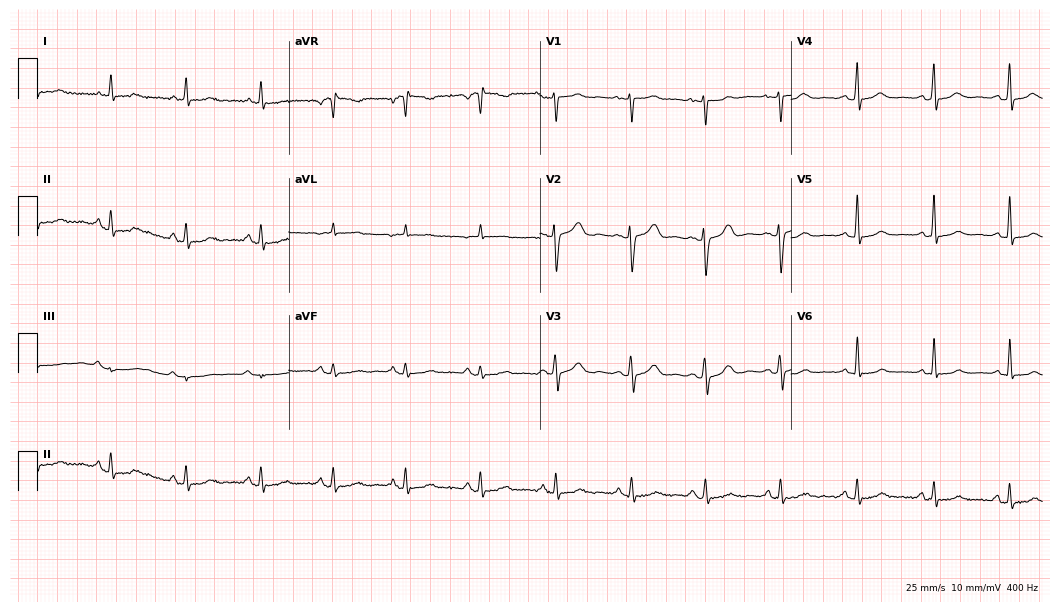
Resting 12-lead electrocardiogram (10.2-second recording at 400 Hz). Patient: a woman, 45 years old. Read as a normal ECG.